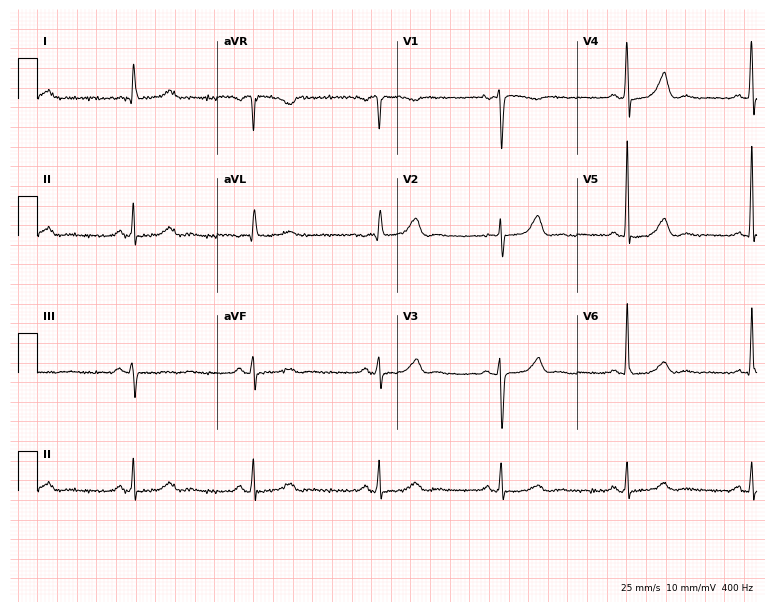
ECG — a female patient, 80 years old. Findings include sinus bradycardia (a sinus rate of 50 beats per minute or less).